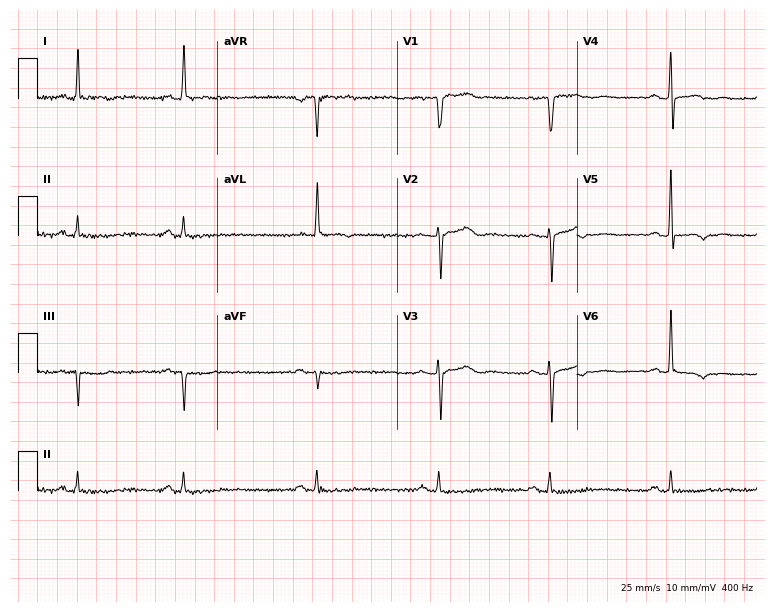
Resting 12-lead electrocardiogram (7.3-second recording at 400 Hz). Patient: a 52-year-old female. Read as a normal ECG.